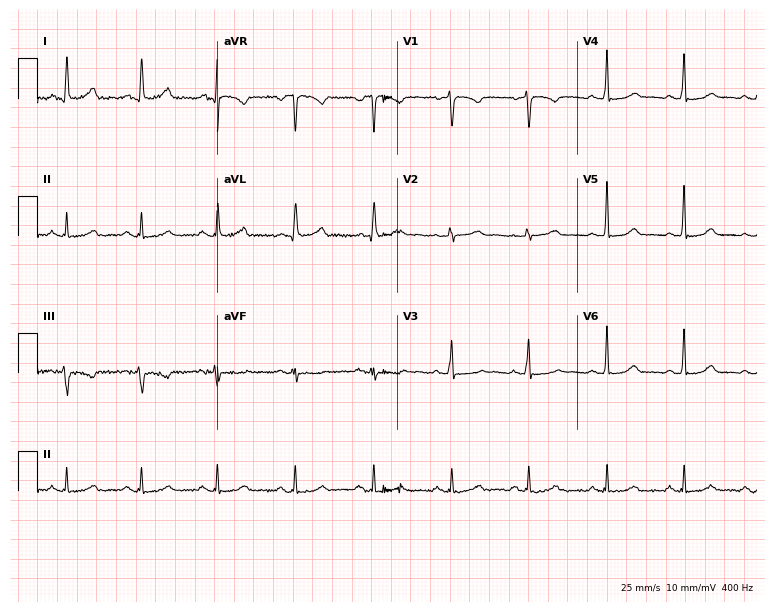
12-lead ECG from a 44-year-old woman. Labelled as a normal ECG.